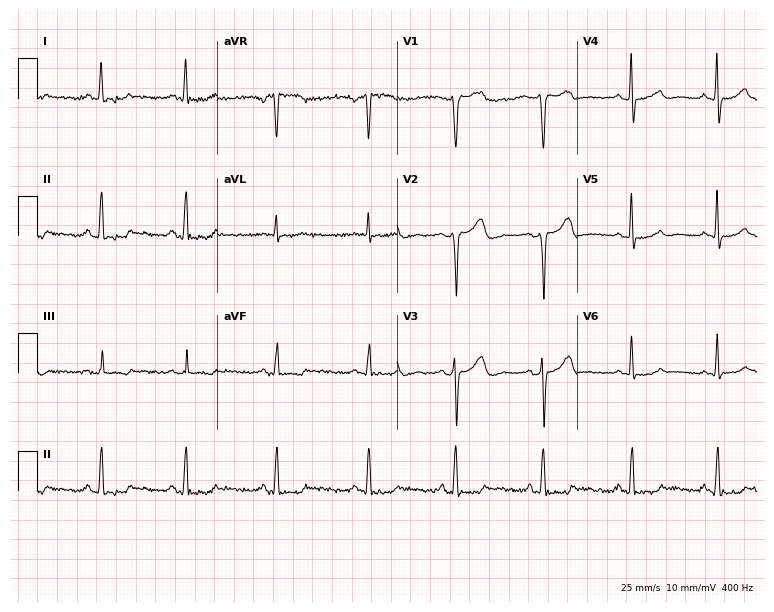
Electrocardiogram (7.3-second recording at 400 Hz), a 46-year-old female patient. Of the six screened findings (first-degree AV block, right bundle branch block, left bundle branch block, sinus bradycardia, atrial fibrillation, sinus tachycardia), none is recorded.